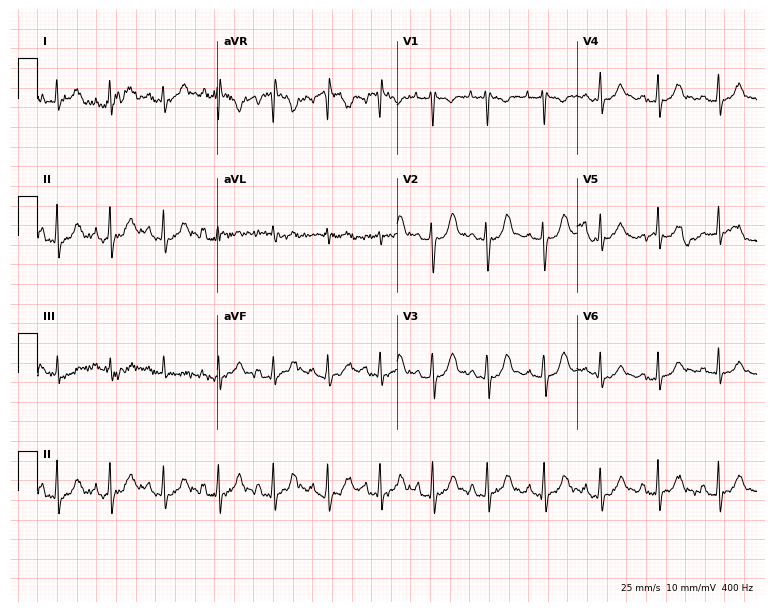
Standard 12-lead ECG recorded from a 23-year-old female. The tracing shows sinus tachycardia (a sinus rate of 100 beats per minute or more).